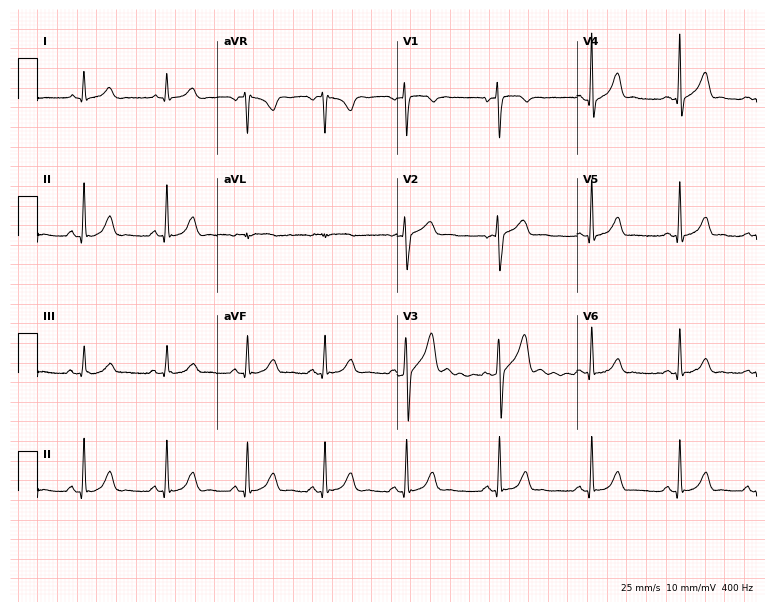
Electrocardiogram, a man, 39 years old. Overall reading on record: normal ECG.